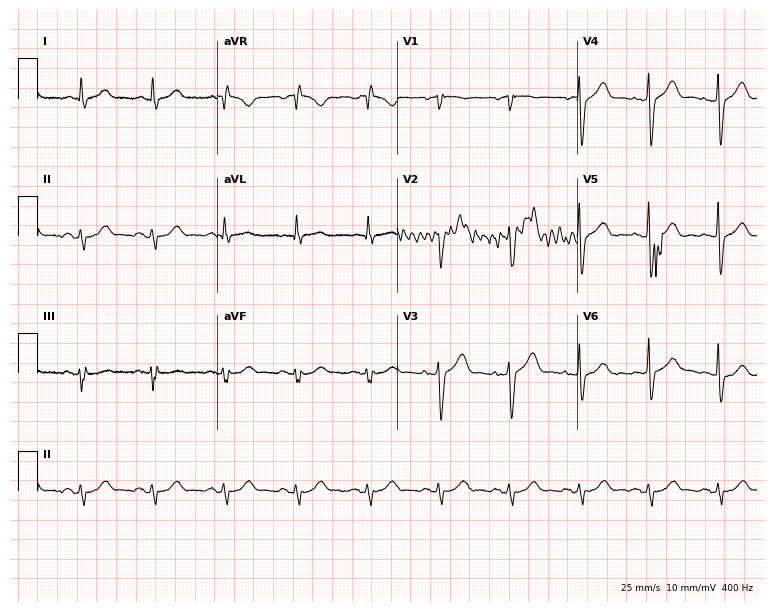
12-lead ECG from a 67-year-old man (7.3-second recording at 400 Hz). No first-degree AV block, right bundle branch block (RBBB), left bundle branch block (LBBB), sinus bradycardia, atrial fibrillation (AF) or sinus tachycardia recorded for this tracing.